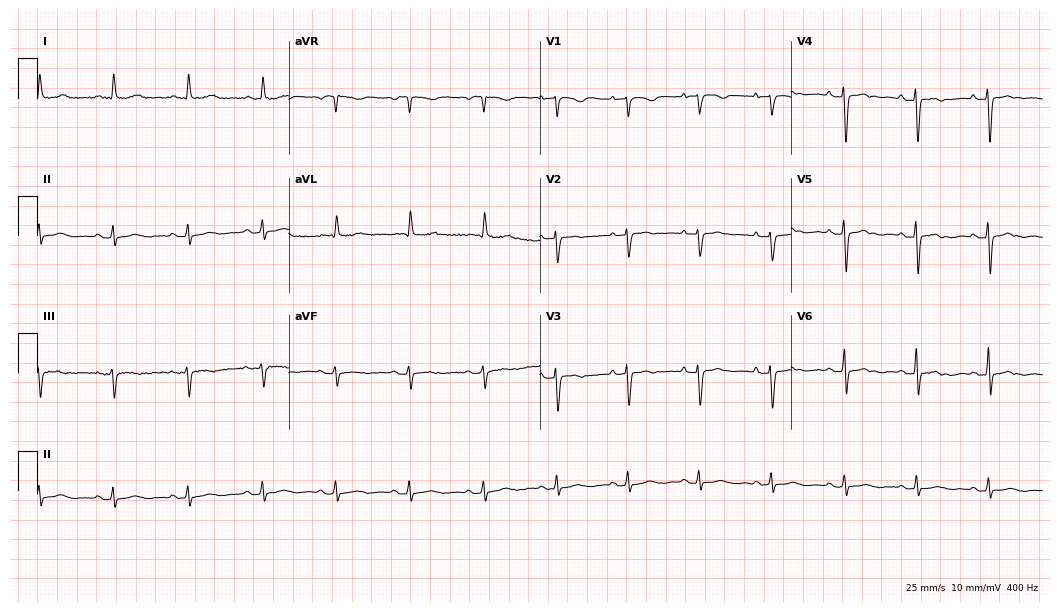
Electrocardiogram, a female patient, 78 years old. Of the six screened findings (first-degree AV block, right bundle branch block, left bundle branch block, sinus bradycardia, atrial fibrillation, sinus tachycardia), none is recorded.